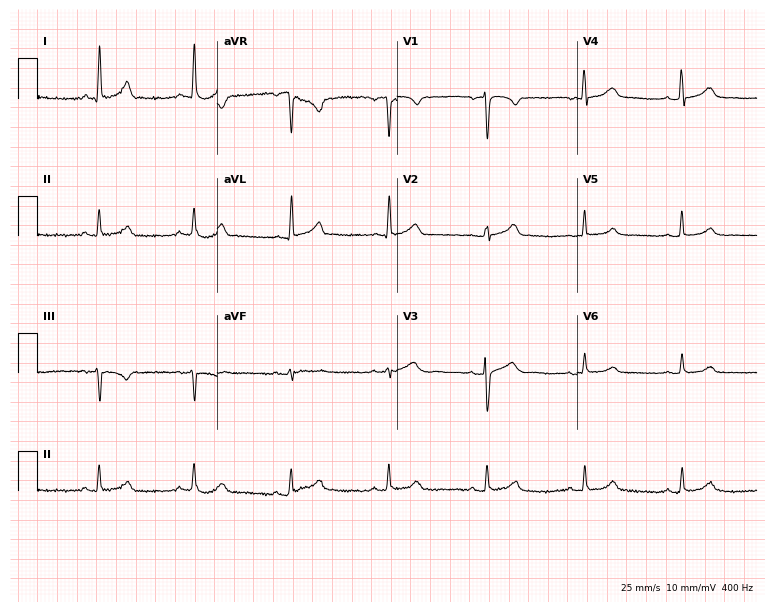
12-lead ECG from a 57-year-old female (7.3-second recording at 400 Hz). Recorded interpretation: within normal limits.